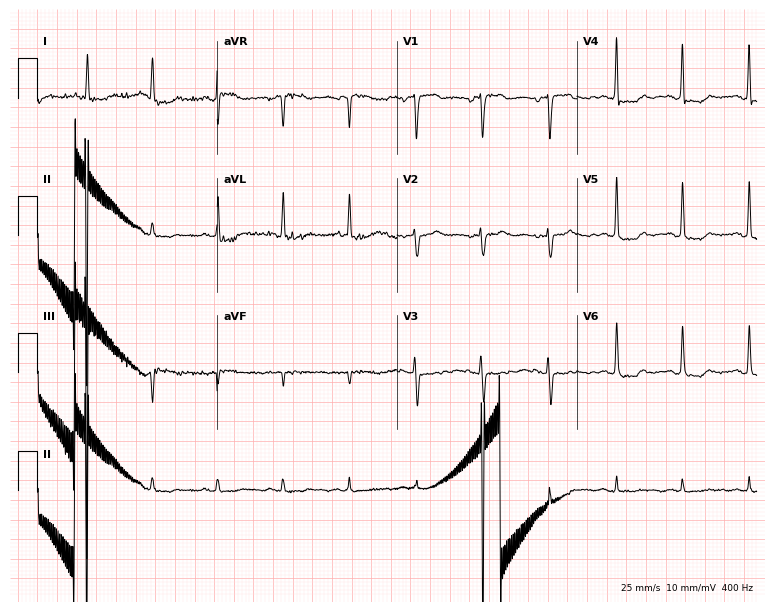
Standard 12-lead ECG recorded from a female, 78 years old. None of these six findings is recorded: first-degree AV block, right bundle branch block, left bundle branch block, sinus bradycardia, atrial fibrillation, sinus tachycardia. Only these six findings were labelled.